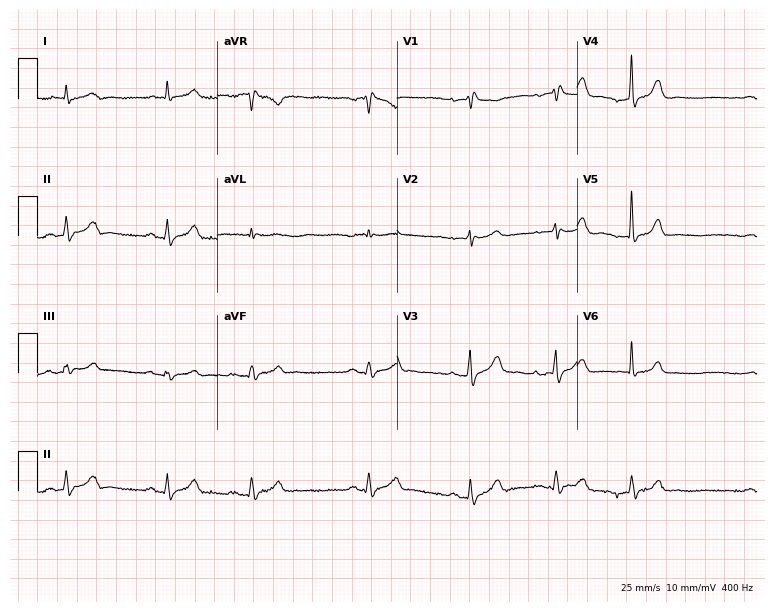
ECG (7.3-second recording at 400 Hz) — a 73-year-old man. Labelled as a normal ECG.